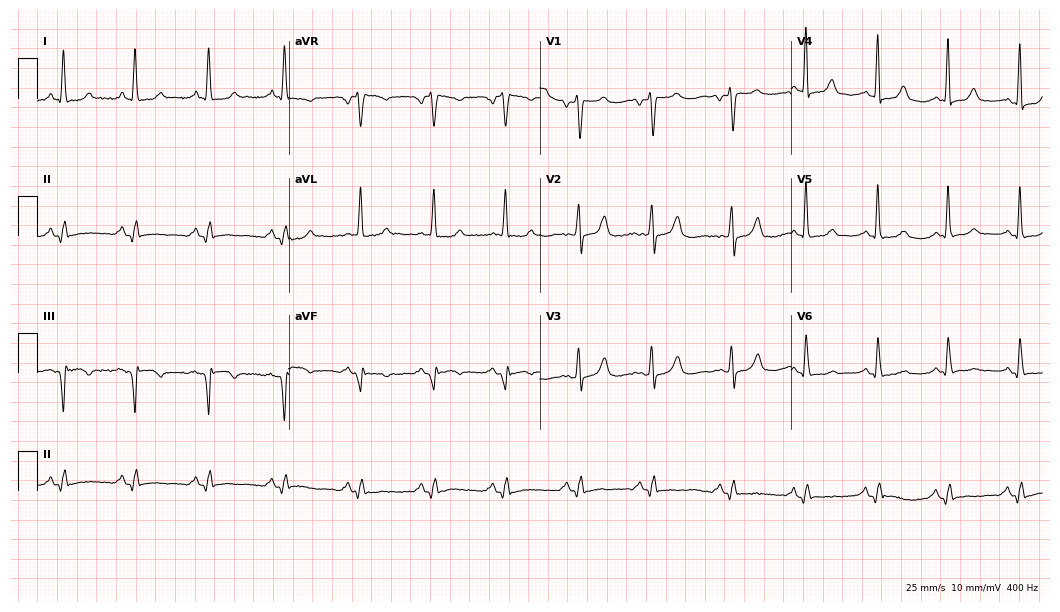
12-lead ECG from a woman, 75 years old. Screened for six findings — first-degree AV block, right bundle branch block (RBBB), left bundle branch block (LBBB), sinus bradycardia, atrial fibrillation (AF), sinus tachycardia — none is recorded. Findings outside these six are not listed.